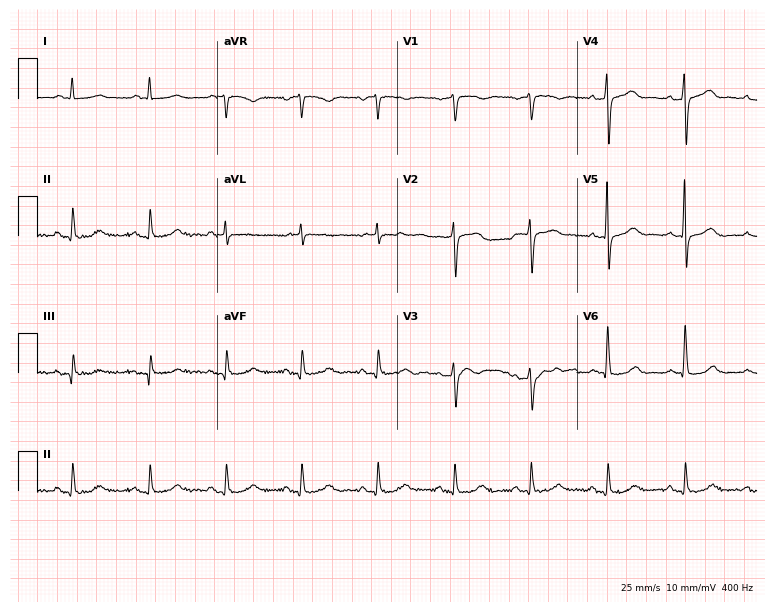
Standard 12-lead ECG recorded from a 59-year-old male patient (7.3-second recording at 400 Hz). None of these six findings is recorded: first-degree AV block, right bundle branch block (RBBB), left bundle branch block (LBBB), sinus bradycardia, atrial fibrillation (AF), sinus tachycardia.